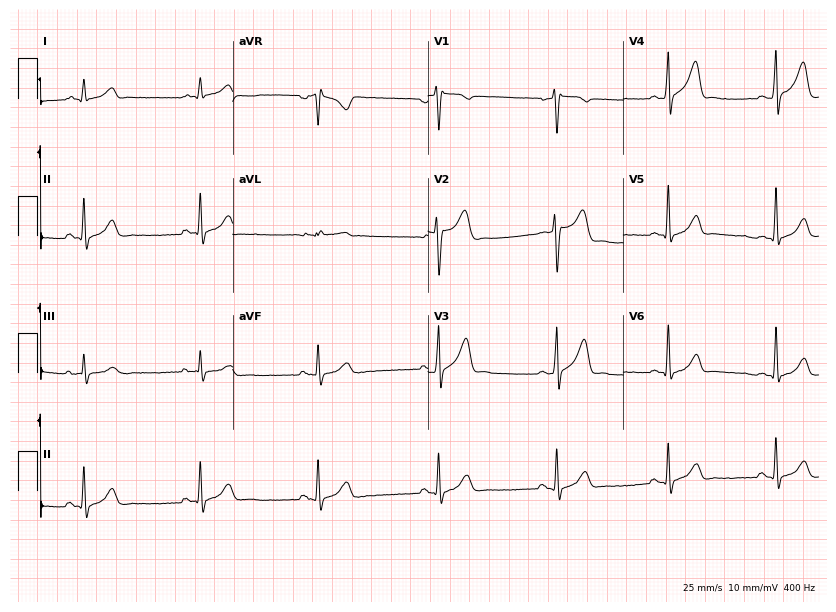
Standard 12-lead ECG recorded from a male, 27 years old (8-second recording at 400 Hz). None of these six findings is recorded: first-degree AV block, right bundle branch block (RBBB), left bundle branch block (LBBB), sinus bradycardia, atrial fibrillation (AF), sinus tachycardia.